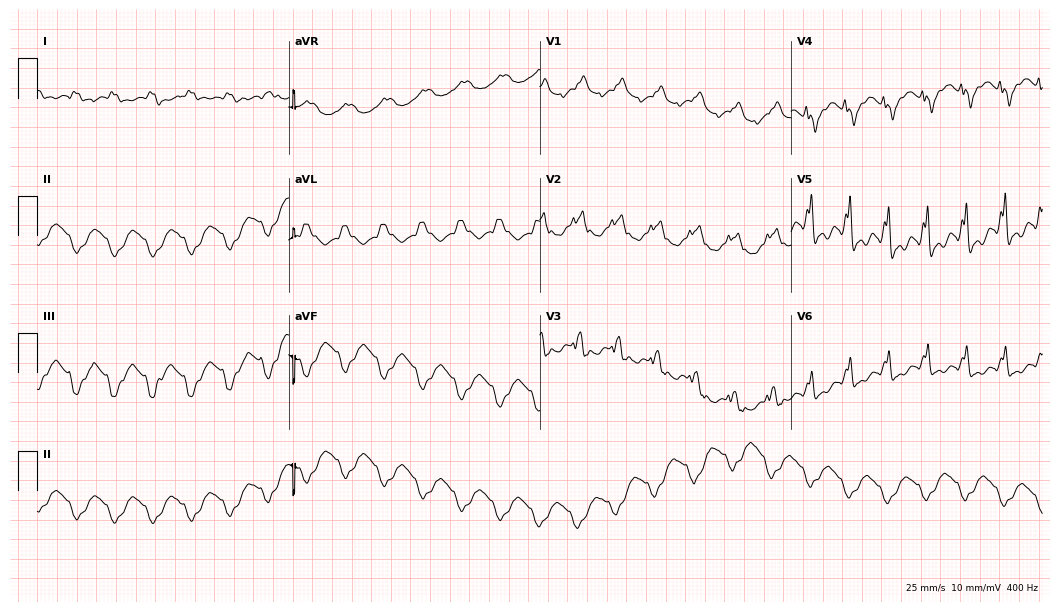
Electrocardiogram (10.2-second recording at 400 Hz), a 70-year-old male patient. Of the six screened findings (first-degree AV block, right bundle branch block (RBBB), left bundle branch block (LBBB), sinus bradycardia, atrial fibrillation (AF), sinus tachycardia), none is recorded.